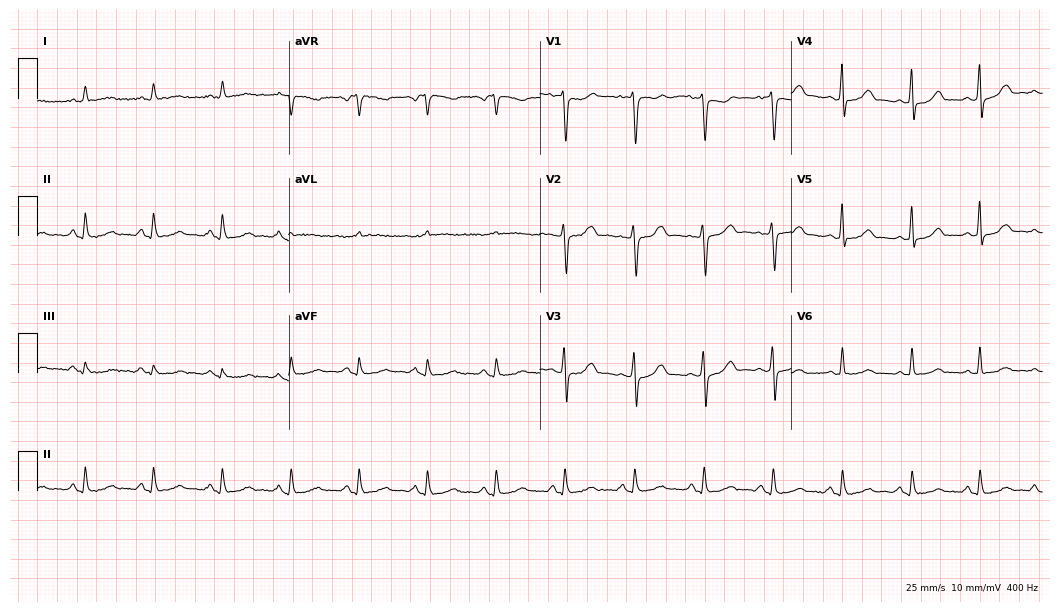
12-lead ECG from a 39-year-old female (10.2-second recording at 400 Hz). No first-degree AV block, right bundle branch block (RBBB), left bundle branch block (LBBB), sinus bradycardia, atrial fibrillation (AF) or sinus tachycardia recorded for this tracing. Findings outside these six are not listed.